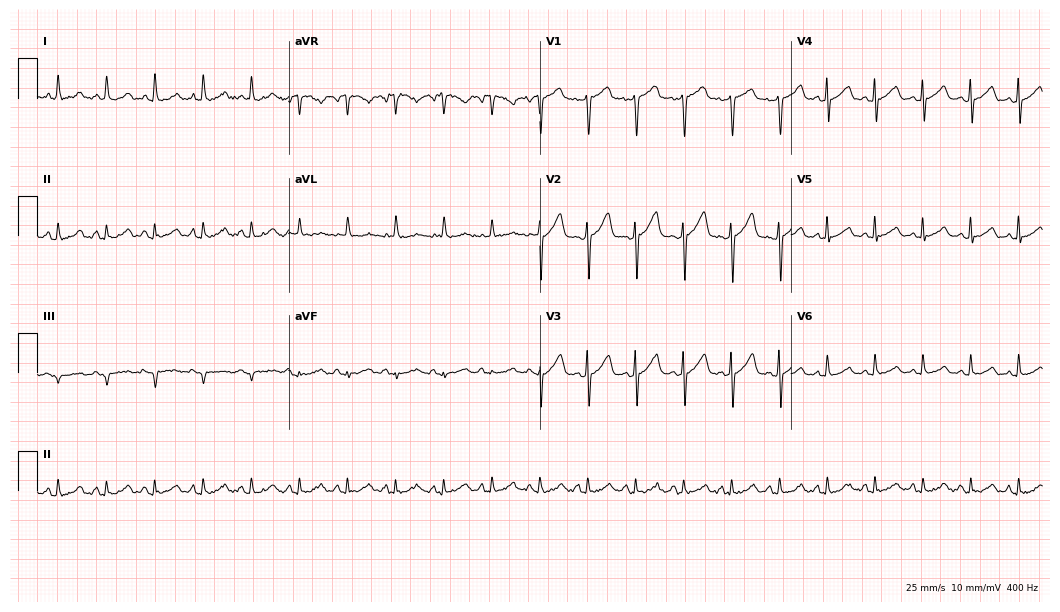
Standard 12-lead ECG recorded from a 61-year-old woman. The tracing shows sinus tachycardia (a sinus rate of 100 beats per minute or more).